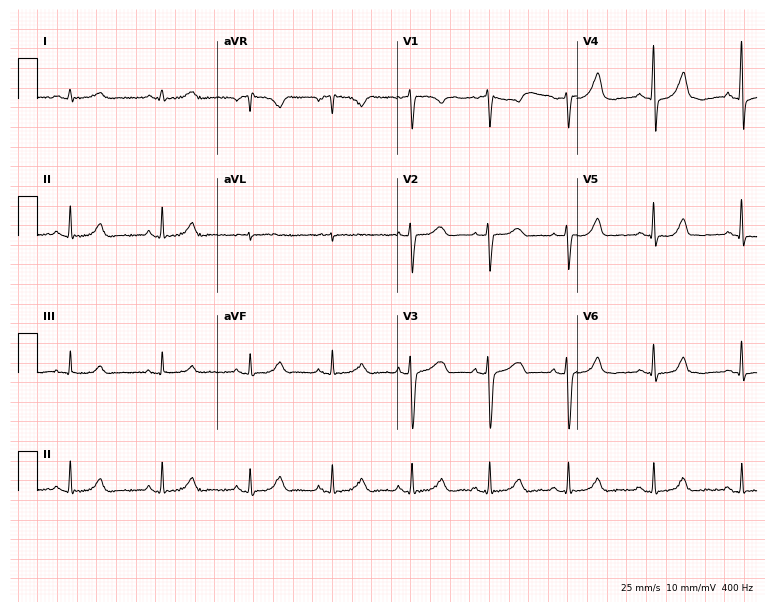
Electrocardiogram, a female patient, 46 years old. Overall reading on record: normal ECG.